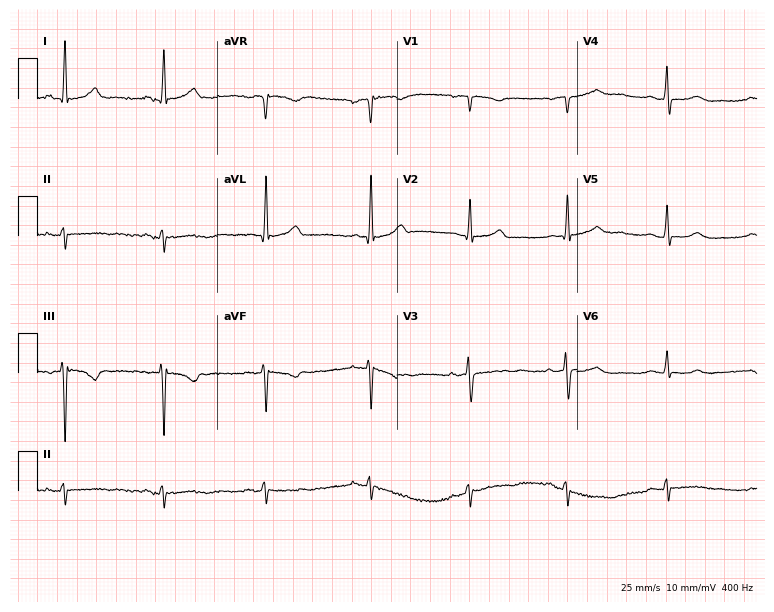
Electrocardiogram (7.3-second recording at 400 Hz), a 63-year-old woman. Of the six screened findings (first-degree AV block, right bundle branch block, left bundle branch block, sinus bradycardia, atrial fibrillation, sinus tachycardia), none is recorded.